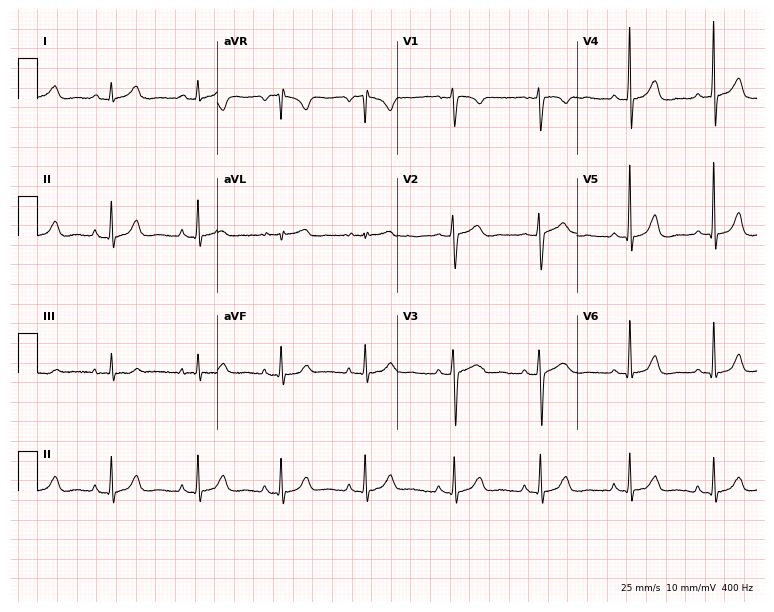
Standard 12-lead ECG recorded from a female patient, 33 years old. Read as a normal ECG.